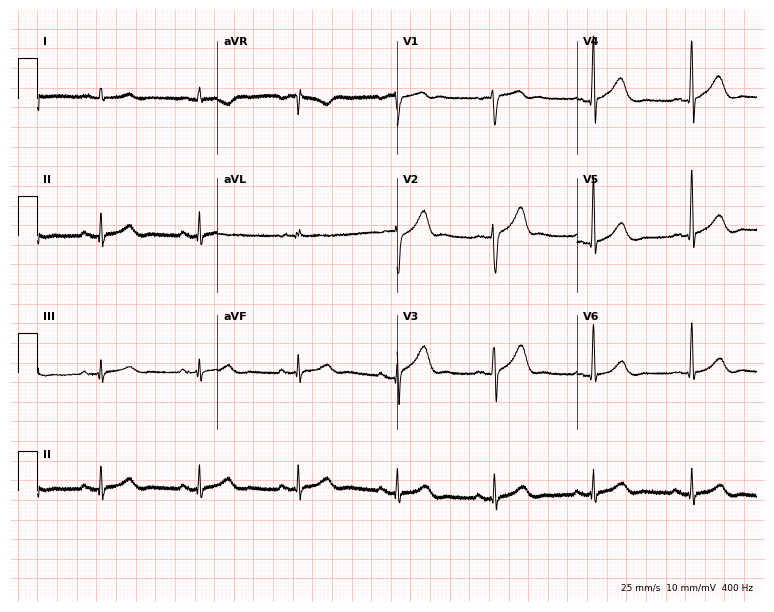
12-lead ECG from a 71-year-old man. Labelled as a normal ECG.